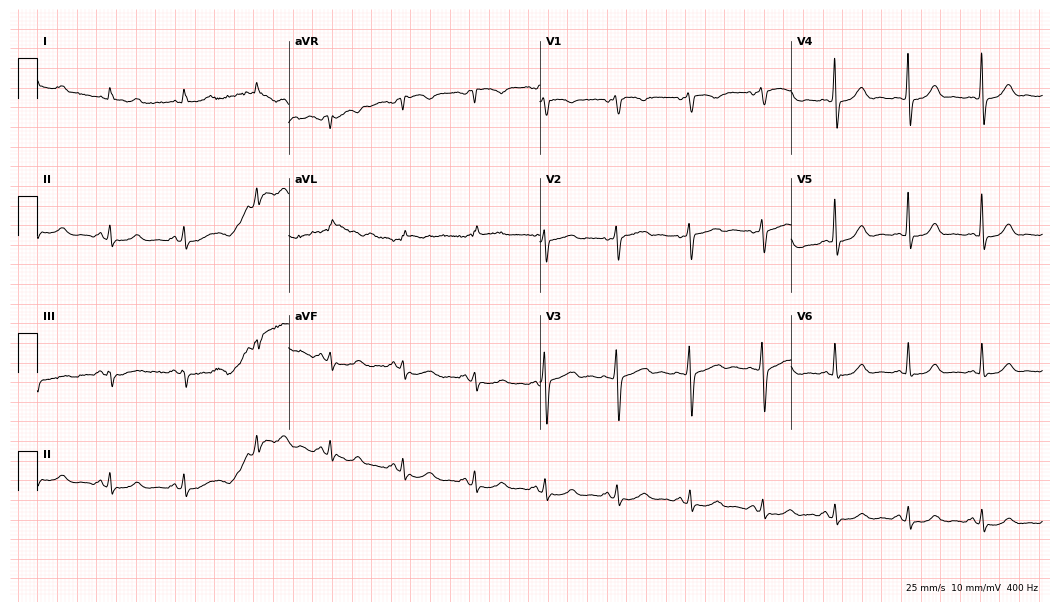
12-lead ECG from a 63-year-old male (10.2-second recording at 400 Hz). No first-degree AV block, right bundle branch block, left bundle branch block, sinus bradycardia, atrial fibrillation or sinus tachycardia recorded for this tracing. Only these six findings were labelled.